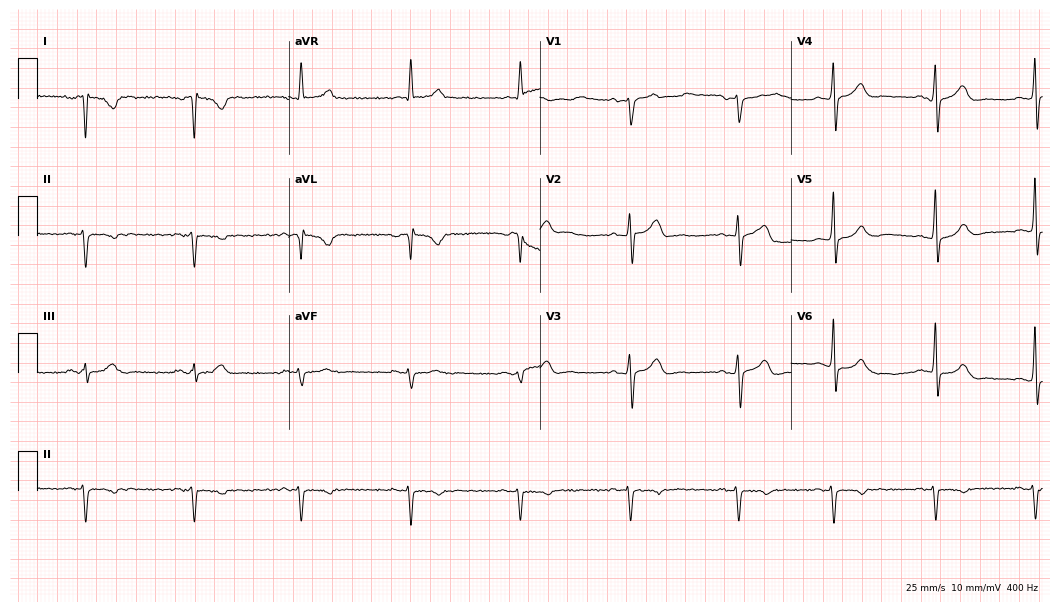
12-lead ECG from a 53-year-old male patient (10.2-second recording at 400 Hz). Recorded interpretation: within normal limits.